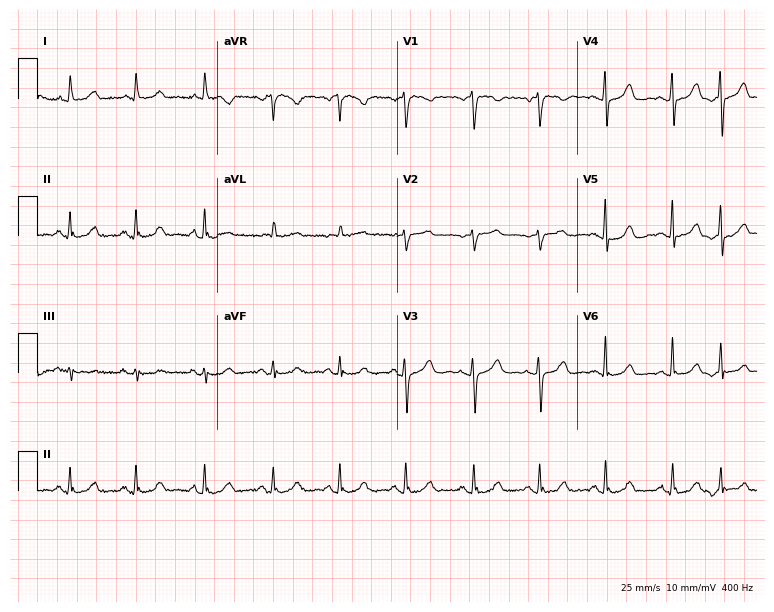
ECG — a female, 68 years old. Labelled as a normal ECG.